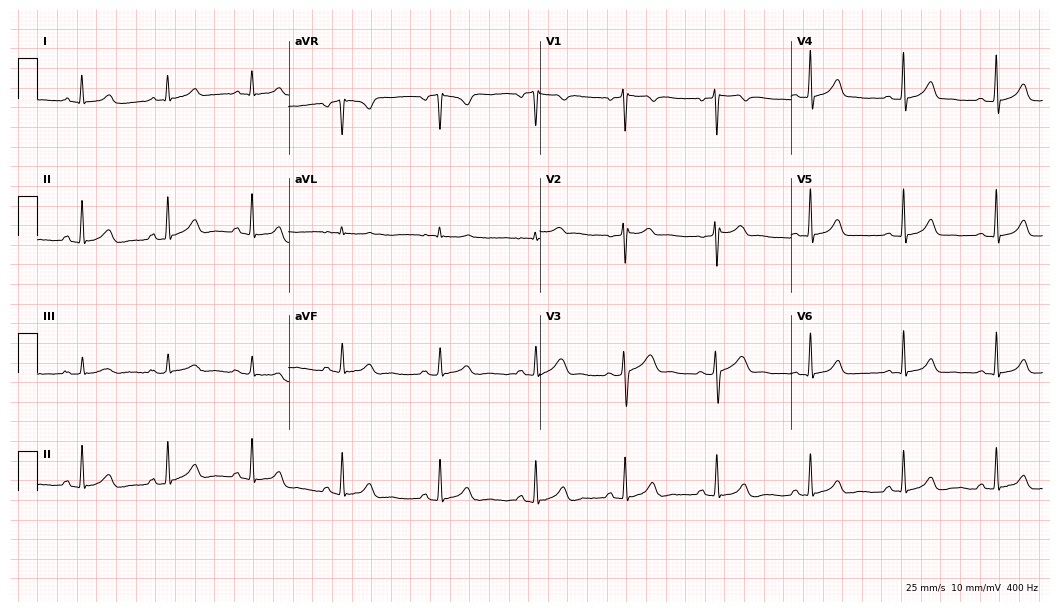
12-lead ECG (10.2-second recording at 400 Hz) from a 24-year-old female patient. Labelled as a normal ECG.